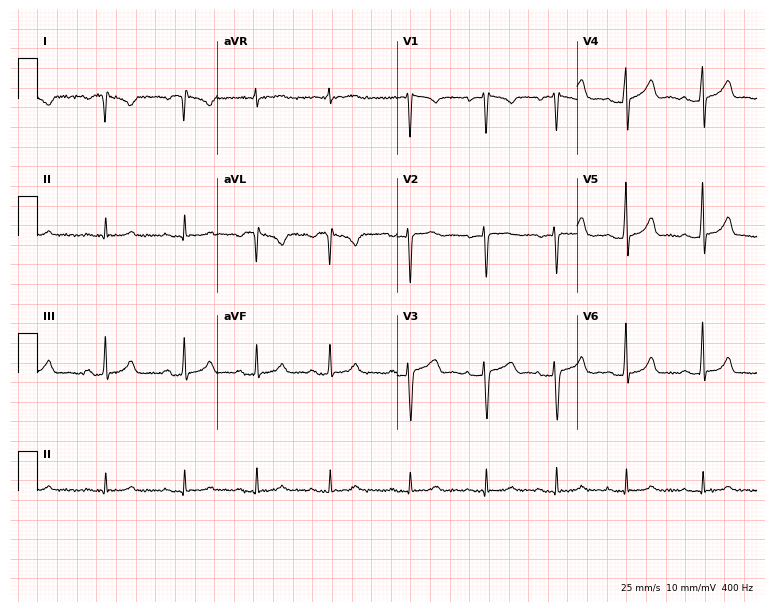
12-lead ECG from a female, 37 years old. Screened for six findings — first-degree AV block, right bundle branch block, left bundle branch block, sinus bradycardia, atrial fibrillation, sinus tachycardia — none is recorded.